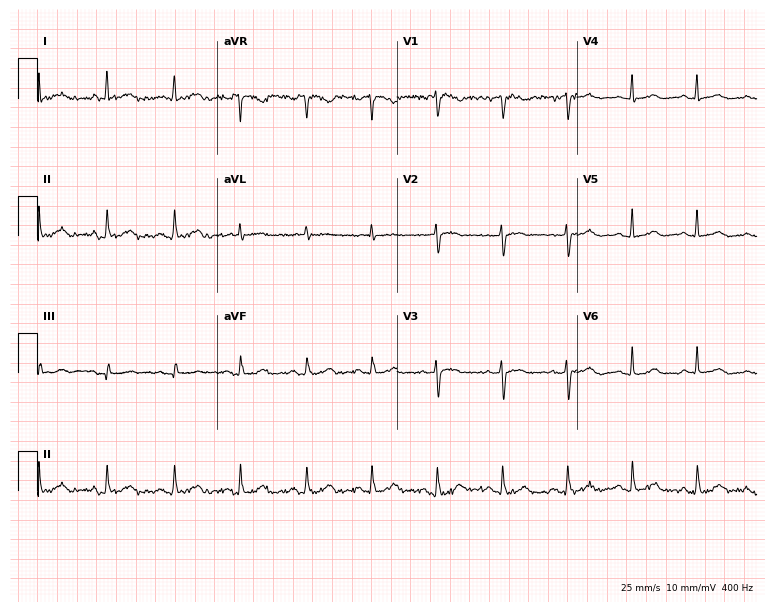
ECG — a woman, 40 years old. Labelled as a normal ECG.